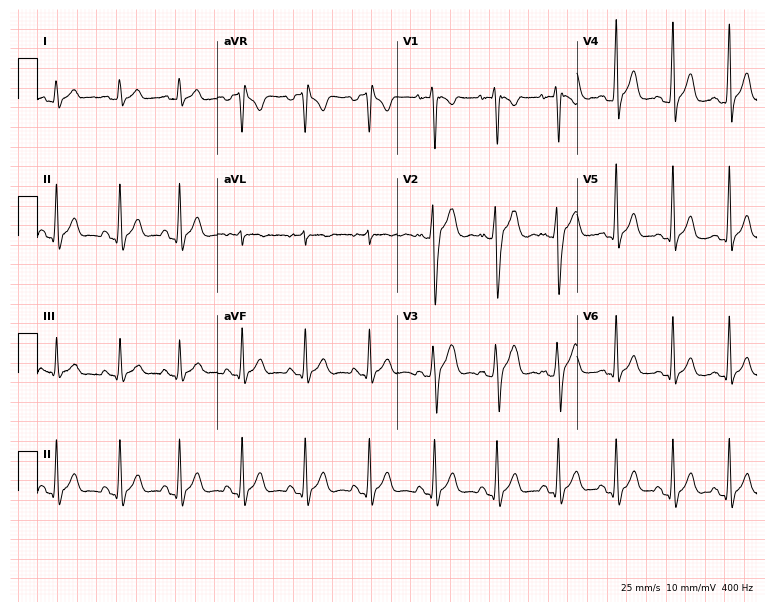
12-lead ECG from an 18-year-old male. Recorded interpretation: within normal limits.